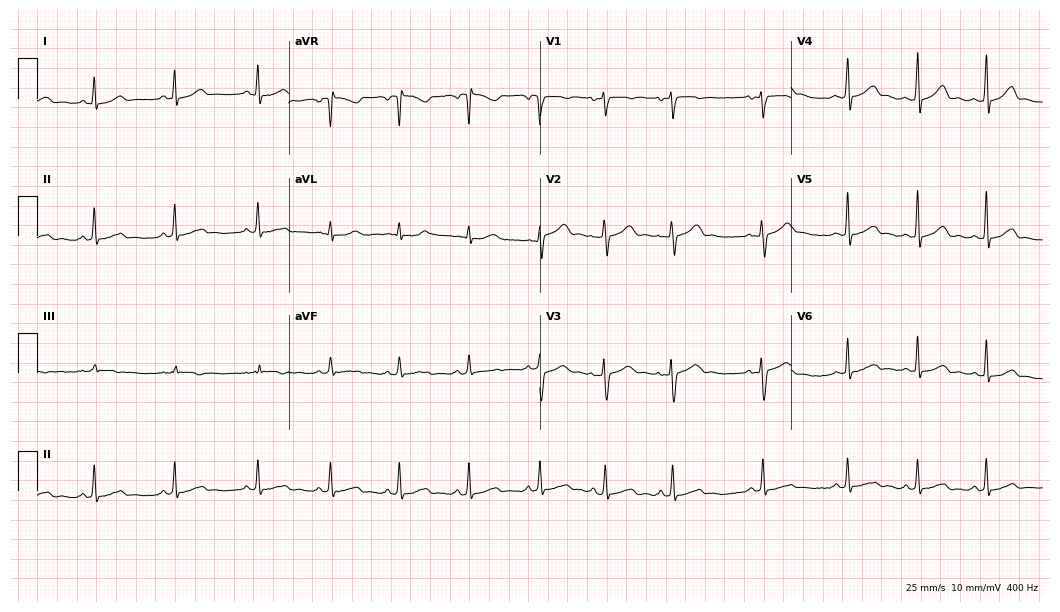
12-lead ECG from a female patient, 26 years old (10.2-second recording at 400 Hz). Recorded interpretation: within normal limits.